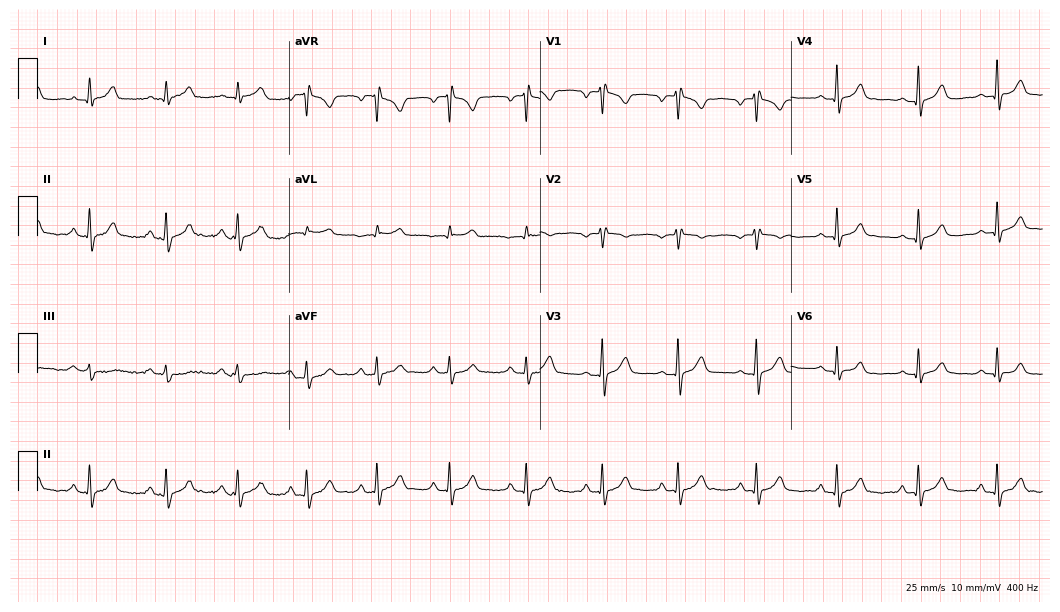
ECG (10.2-second recording at 400 Hz) — a female patient, 41 years old. Screened for six findings — first-degree AV block, right bundle branch block (RBBB), left bundle branch block (LBBB), sinus bradycardia, atrial fibrillation (AF), sinus tachycardia — none is recorded. Other findings, if any, are not listed.